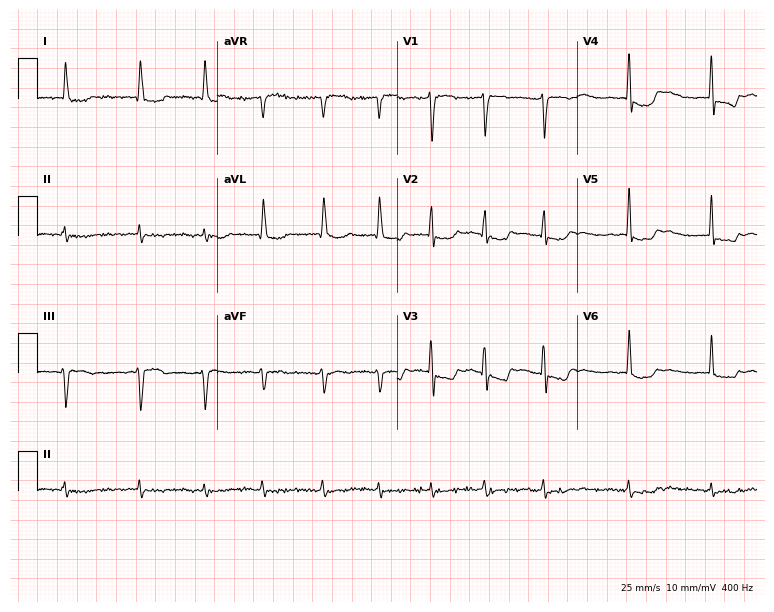
Resting 12-lead electrocardiogram. Patient: a female, 80 years old. The tracing shows atrial fibrillation.